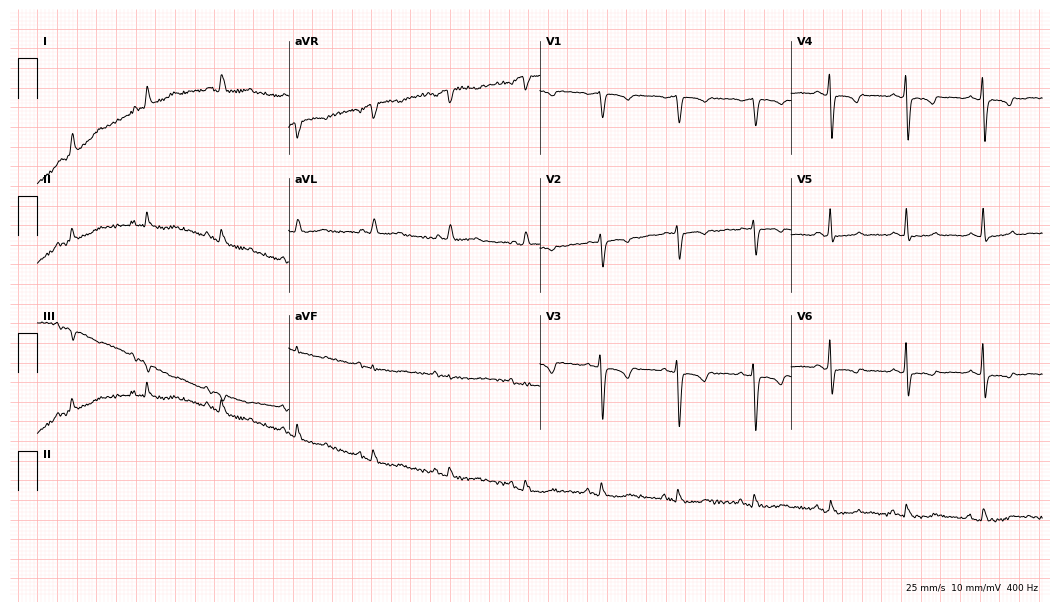
ECG (10.2-second recording at 400 Hz) — a 75-year-old woman. Screened for six findings — first-degree AV block, right bundle branch block, left bundle branch block, sinus bradycardia, atrial fibrillation, sinus tachycardia — none is recorded. Other findings, if any, are not listed.